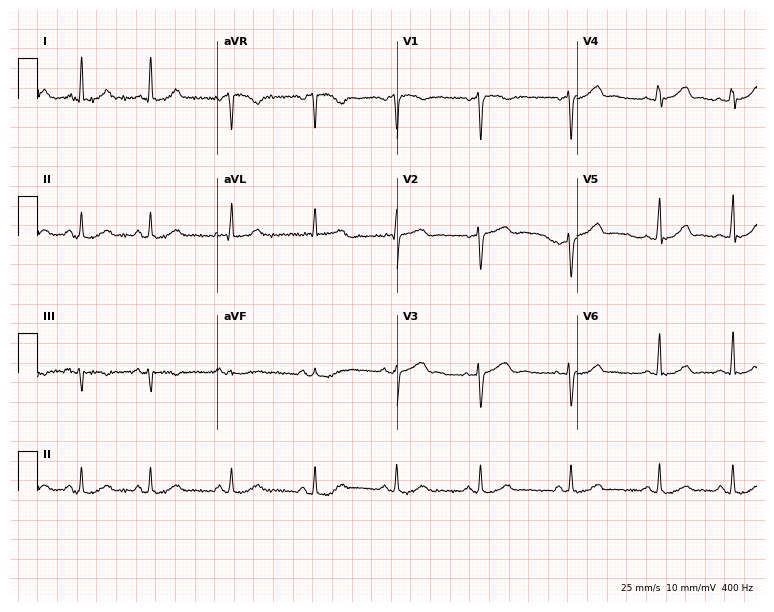
ECG — a female patient, 28 years old. Screened for six findings — first-degree AV block, right bundle branch block (RBBB), left bundle branch block (LBBB), sinus bradycardia, atrial fibrillation (AF), sinus tachycardia — none is recorded. Only these six findings were labelled.